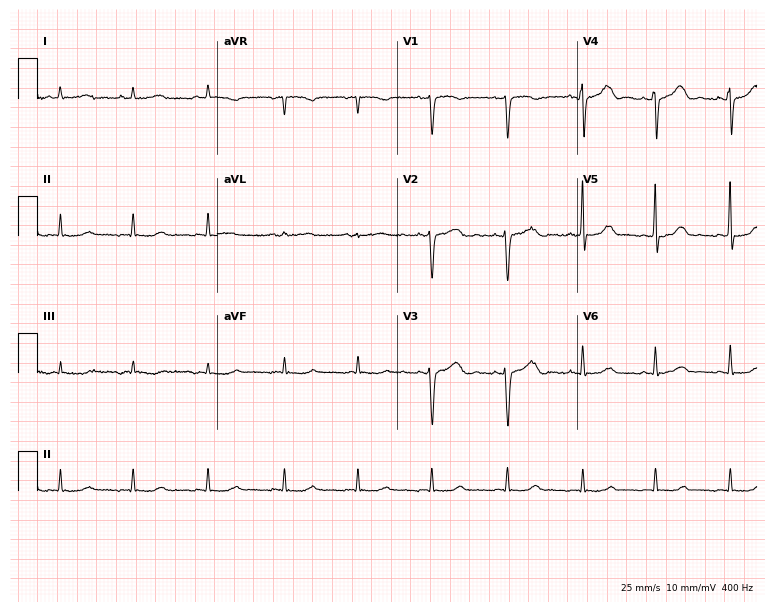
Resting 12-lead electrocardiogram. Patient: a 48-year-old woman. Read as a normal ECG.